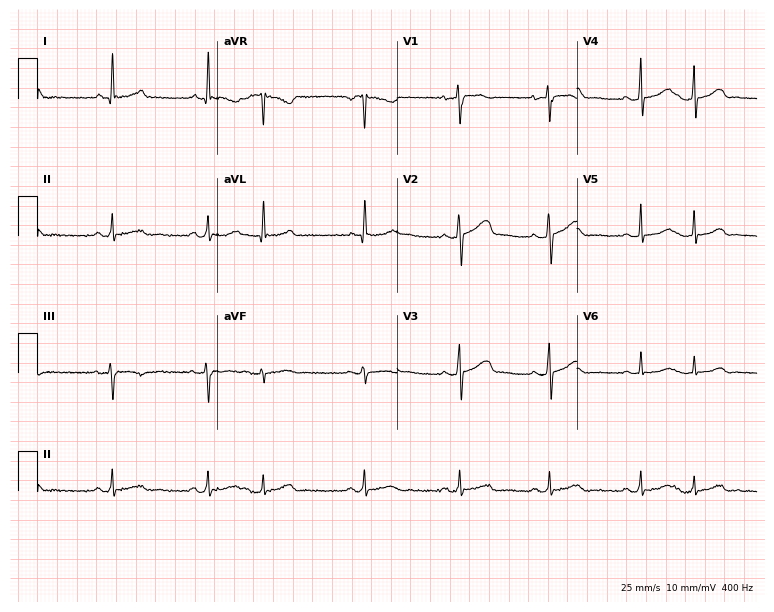
Electrocardiogram (7.3-second recording at 400 Hz), a female patient, 35 years old. Of the six screened findings (first-degree AV block, right bundle branch block (RBBB), left bundle branch block (LBBB), sinus bradycardia, atrial fibrillation (AF), sinus tachycardia), none is recorded.